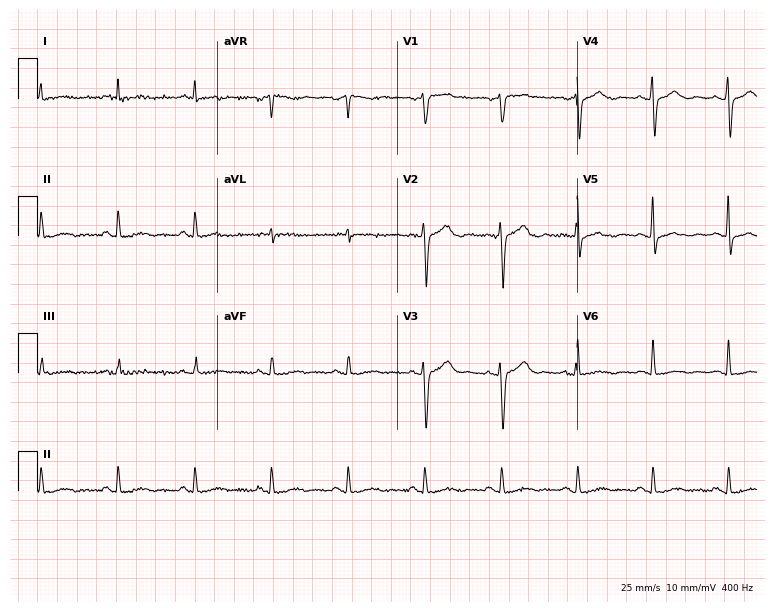
12-lead ECG from a 66-year-old man. Screened for six findings — first-degree AV block, right bundle branch block, left bundle branch block, sinus bradycardia, atrial fibrillation, sinus tachycardia — none is recorded. Findings outside these six are not listed.